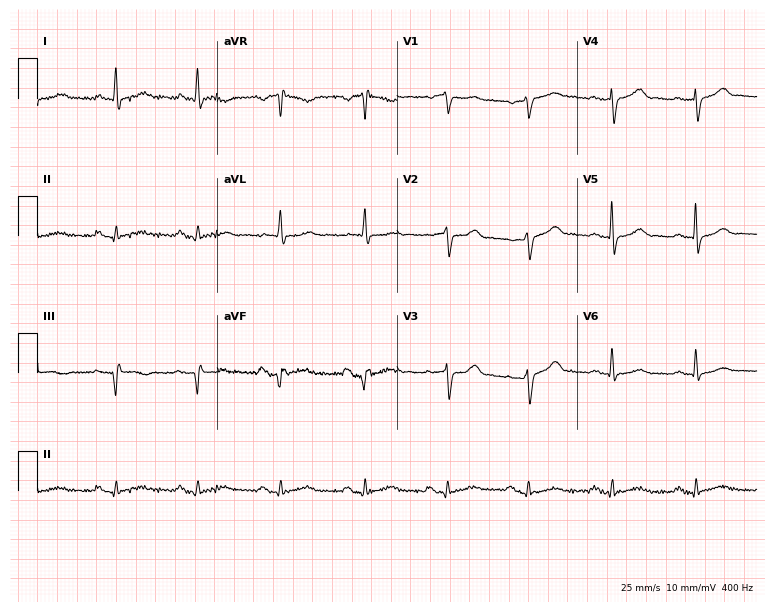
ECG — a female patient, 50 years old. Screened for six findings — first-degree AV block, right bundle branch block (RBBB), left bundle branch block (LBBB), sinus bradycardia, atrial fibrillation (AF), sinus tachycardia — none is recorded.